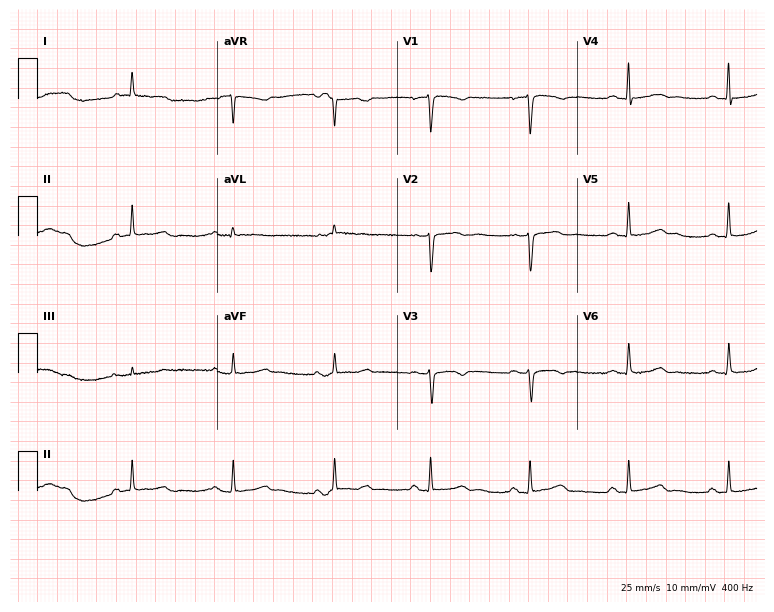
Electrocardiogram, a 56-year-old female. Of the six screened findings (first-degree AV block, right bundle branch block, left bundle branch block, sinus bradycardia, atrial fibrillation, sinus tachycardia), none is recorded.